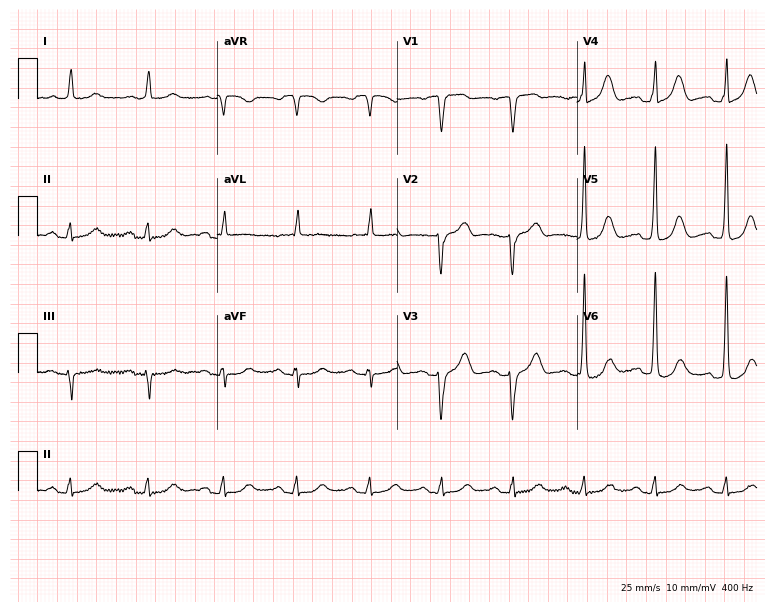
12-lead ECG from an 83-year-old woman (7.3-second recording at 400 Hz). No first-degree AV block, right bundle branch block, left bundle branch block, sinus bradycardia, atrial fibrillation or sinus tachycardia recorded for this tracing. Findings outside these six are not listed.